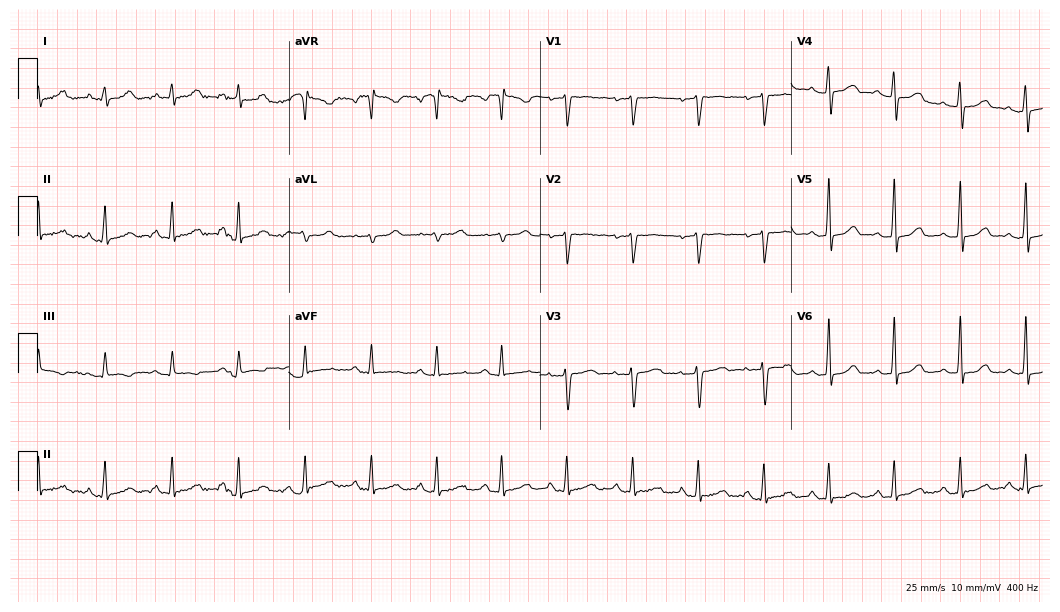
Resting 12-lead electrocardiogram. Patient: a female, 44 years old. Read as a normal ECG.